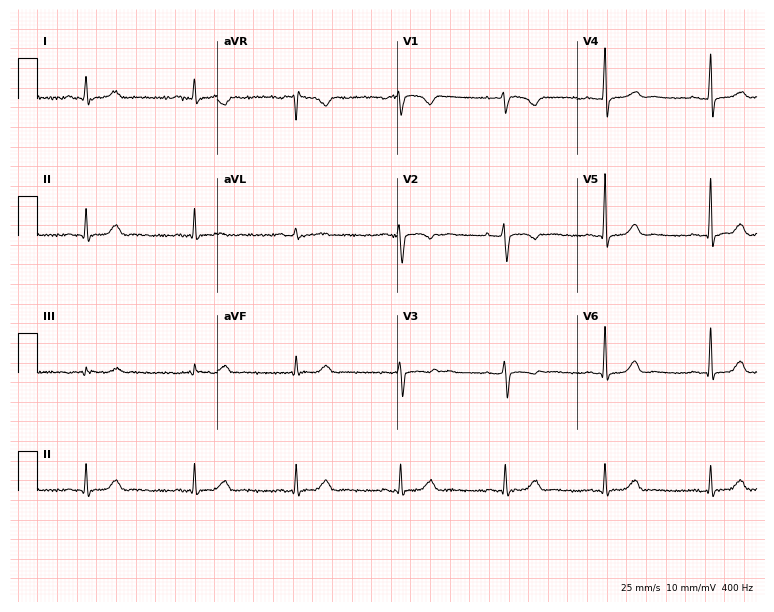
ECG (7.3-second recording at 400 Hz) — a 48-year-old female. Labelled as a normal ECG.